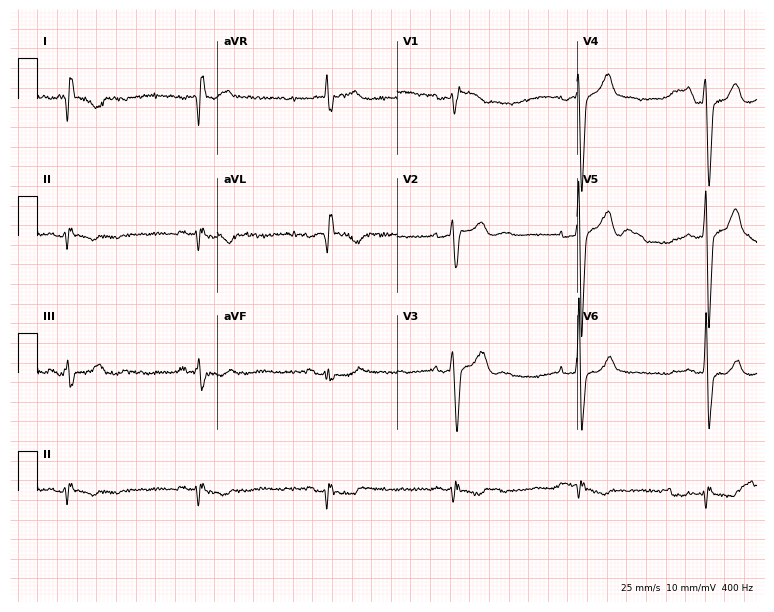
12-lead ECG (7.3-second recording at 400 Hz) from a man, 64 years old. Screened for six findings — first-degree AV block, right bundle branch block, left bundle branch block, sinus bradycardia, atrial fibrillation, sinus tachycardia — none is recorded.